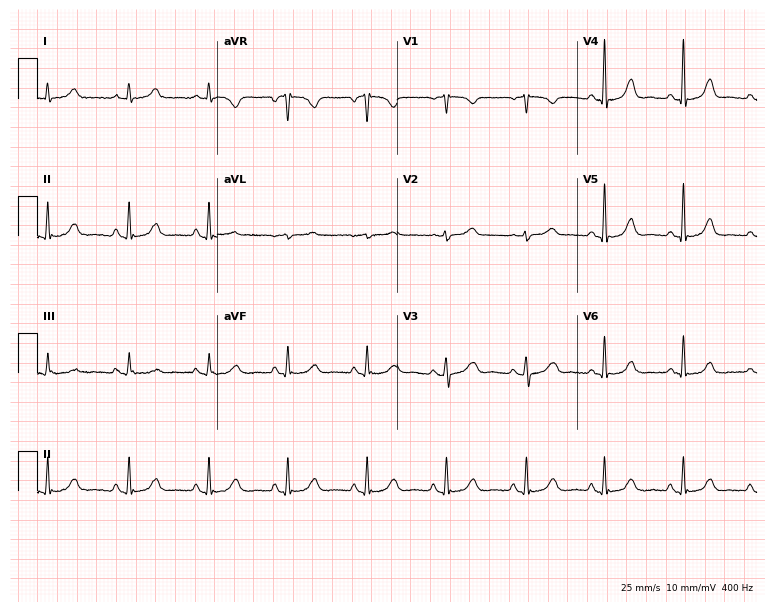
Resting 12-lead electrocardiogram. Patient: a female, 55 years old. Read as a normal ECG.